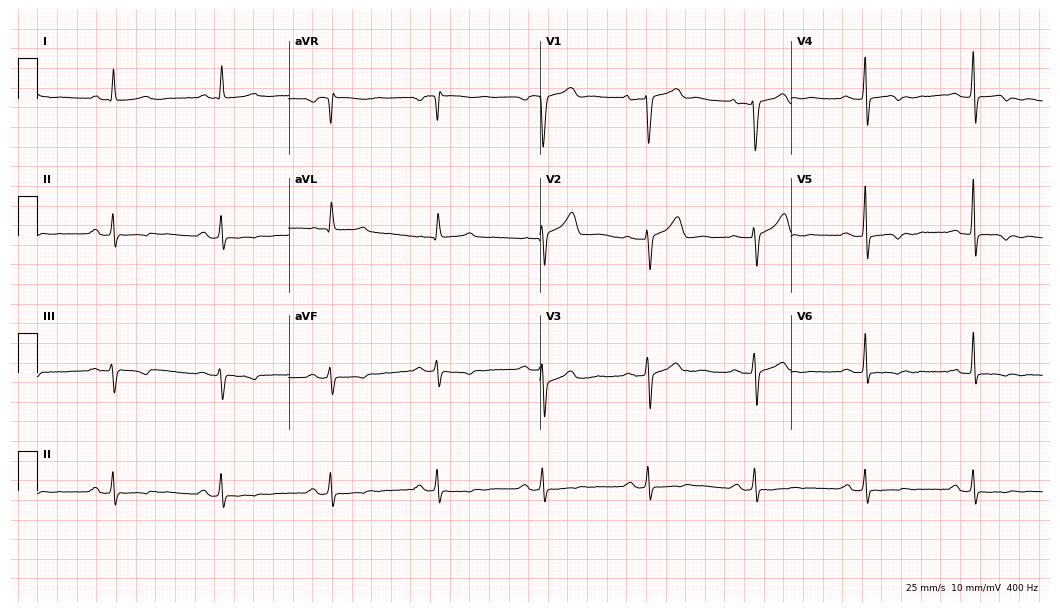
12-lead ECG (10.2-second recording at 400 Hz) from a 71-year-old male patient. Screened for six findings — first-degree AV block, right bundle branch block, left bundle branch block, sinus bradycardia, atrial fibrillation, sinus tachycardia — none is recorded. Other findings, if any, are not listed.